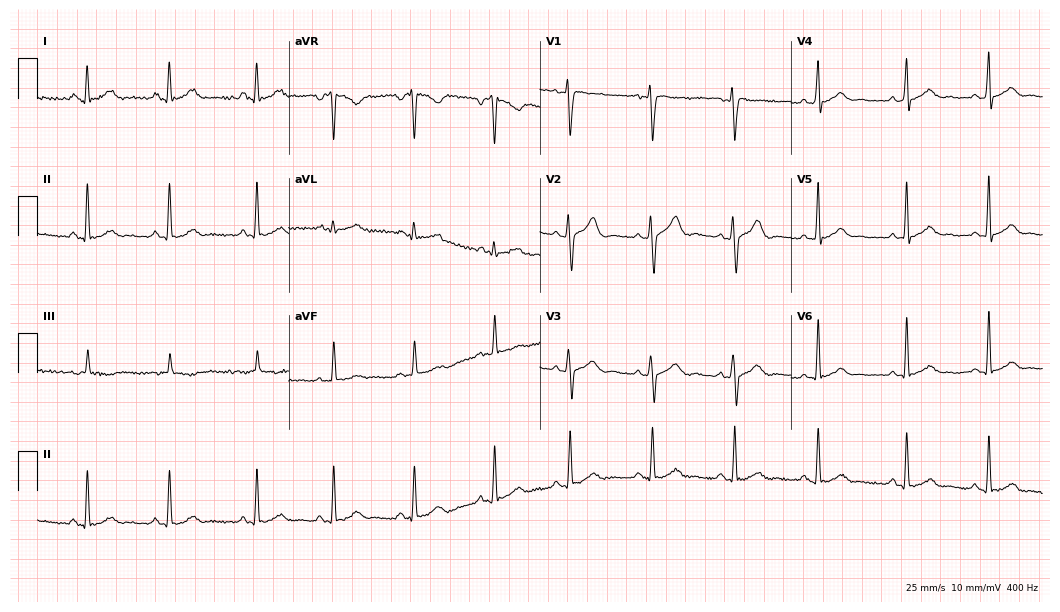
Electrocardiogram, a 36-year-old female patient. Overall reading on record: normal ECG.